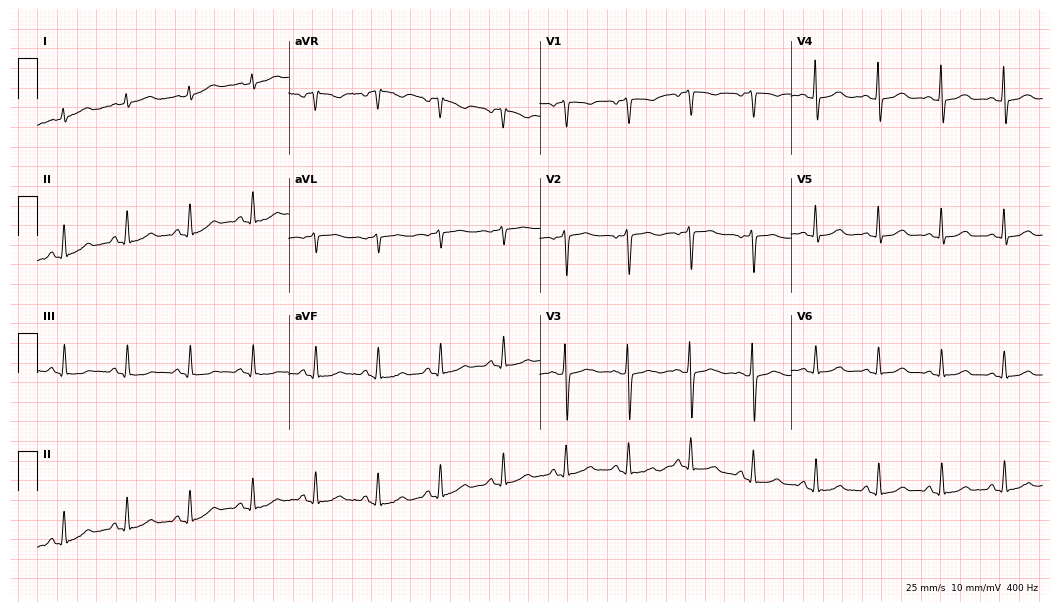
Resting 12-lead electrocardiogram (10.2-second recording at 400 Hz). Patient: a female, 70 years old. Read as a normal ECG.